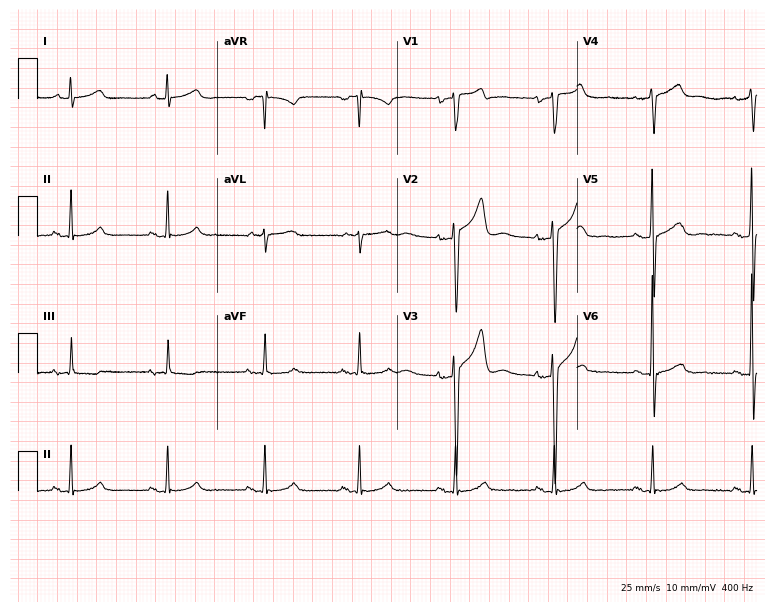
ECG (7.3-second recording at 400 Hz) — a 65-year-old male. Labelled as a normal ECG.